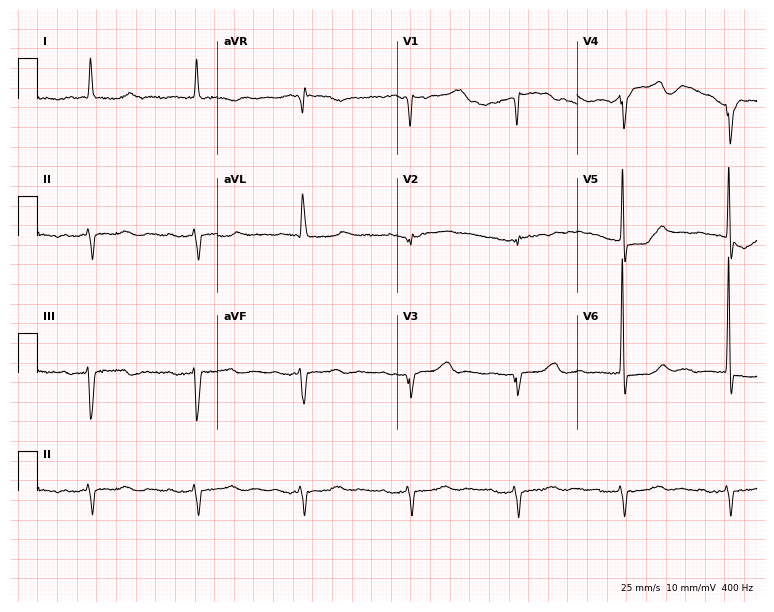
12-lead ECG from a 75-year-old woman. No first-degree AV block, right bundle branch block, left bundle branch block, sinus bradycardia, atrial fibrillation or sinus tachycardia recorded for this tracing.